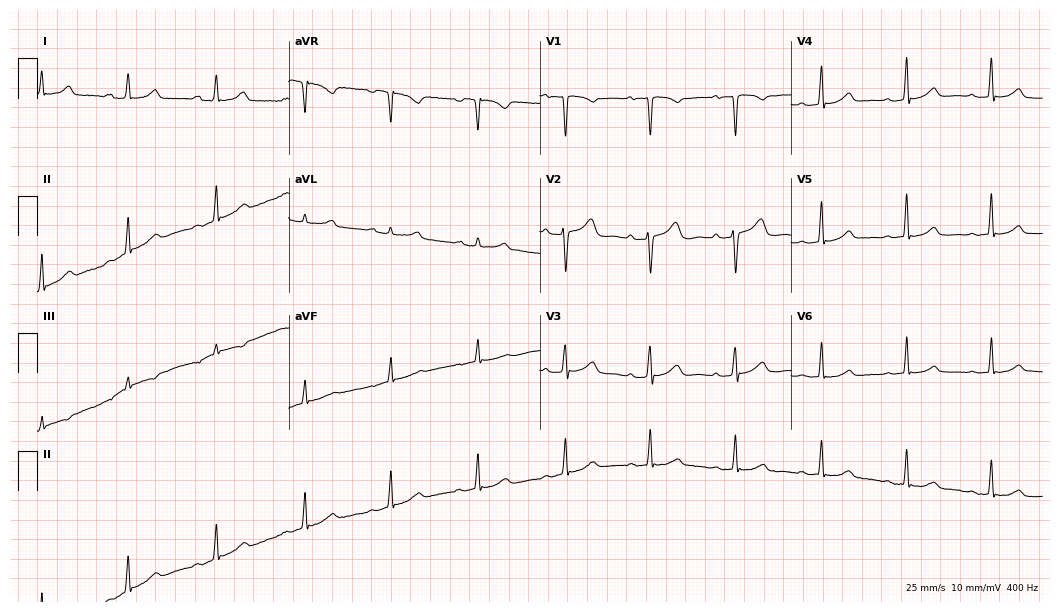
Electrocardiogram (10.2-second recording at 400 Hz), a woman, 43 years old. Overall reading on record: normal ECG.